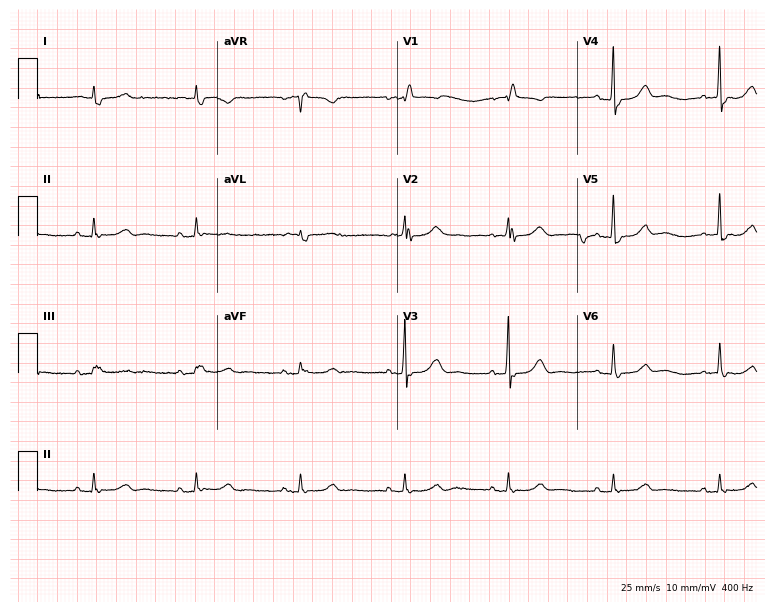
12-lead ECG from a male patient, 82 years old. Screened for six findings — first-degree AV block, right bundle branch block (RBBB), left bundle branch block (LBBB), sinus bradycardia, atrial fibrillation (AF), sinus tachycardia — none is recorded.